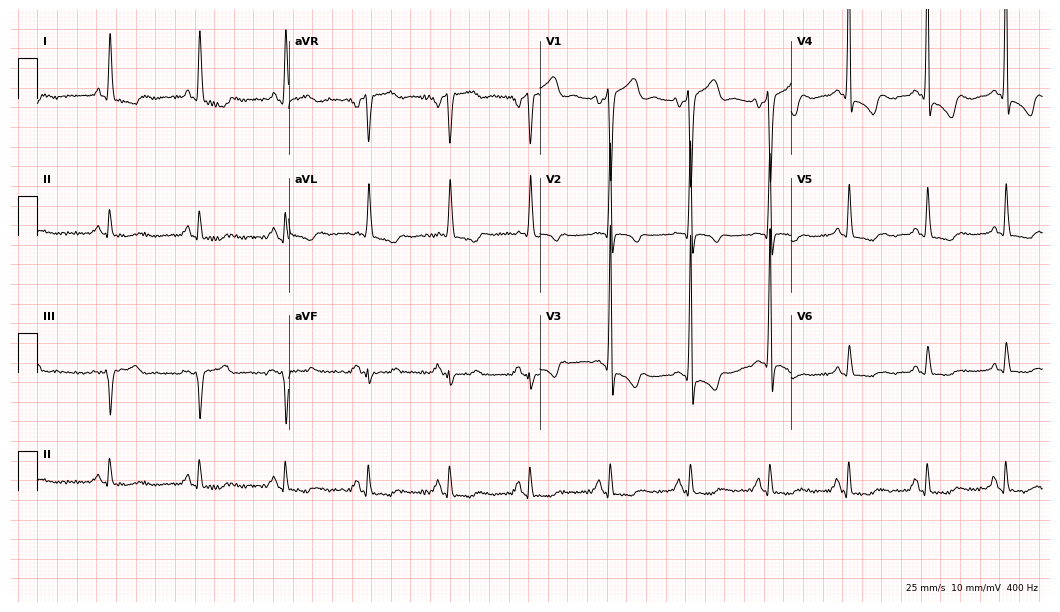
12-lead ECG from a 73-year-old man. Screened for six findings — first-degree AV block, right bundle branch block, left bundle branch block, sinus bradycardia, atrial fibrillation, sinus tachycardia — none is recorded.